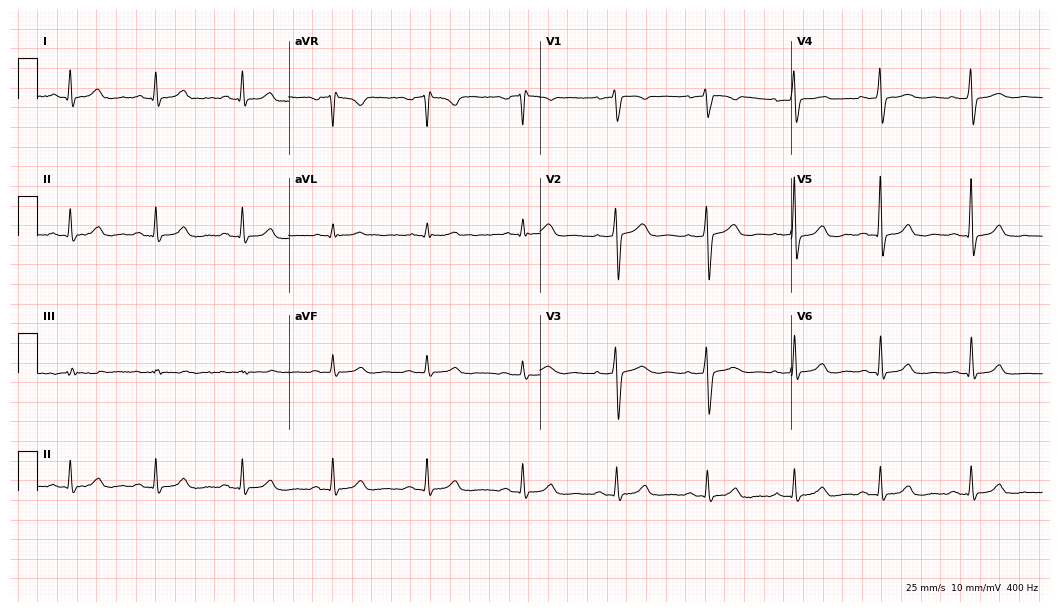
Electrocardiogram, a 37-year-old female patient. Of the six screened findings (first-degree AV block, right bundle branch block (RBBB), left bundle branch block (LBBB), sinus bradycardia, atrial fibrillation (AF), sinus tachycardia), none is recorded. Only these six findings were labelled.